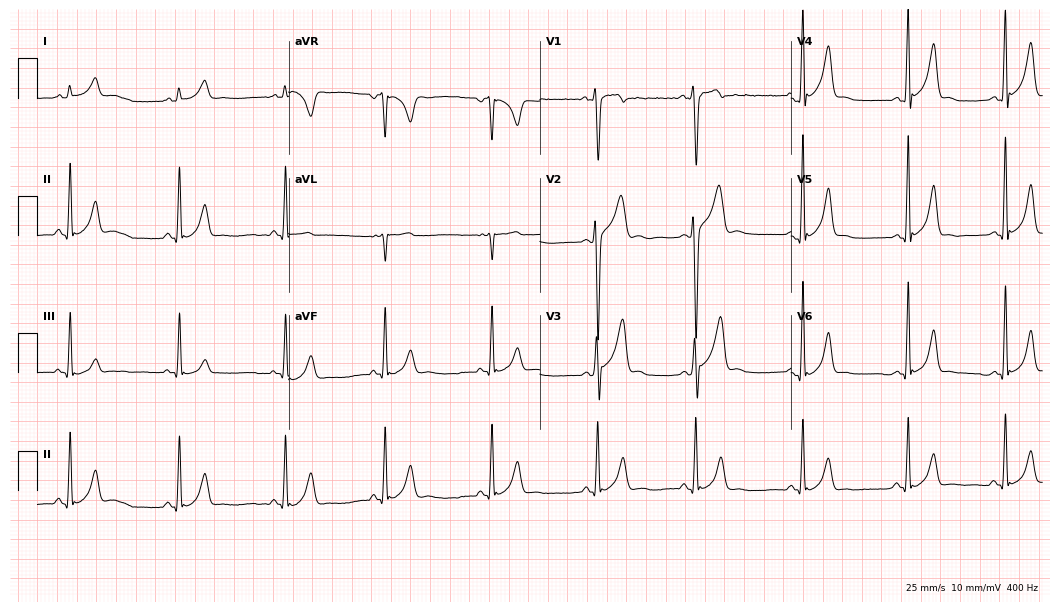
Resting 12-lead electrocardiogram (10.2-second recording at 400 Hz). Patient: a 24-year-old male. Read as a normal ECG.